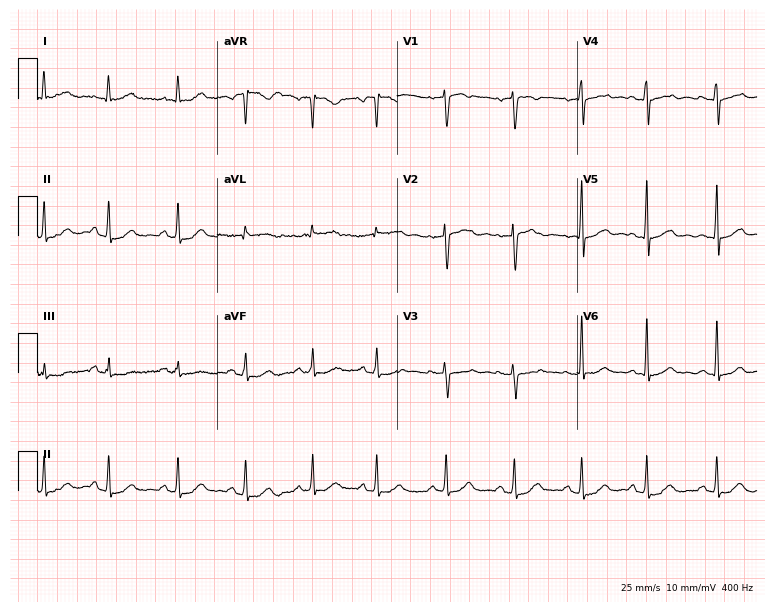
Electrocardiogram, a woman, 59 years old. Overall reading on record: normal ECG.